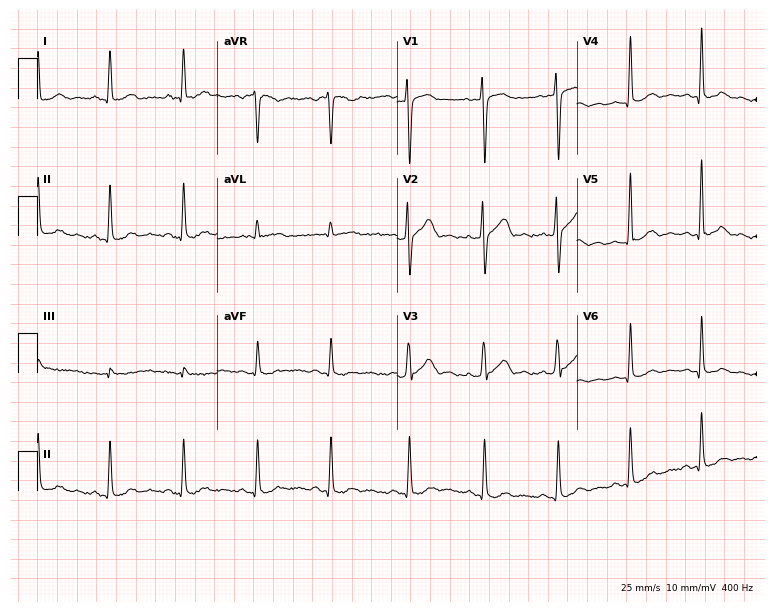
Resting 12-lead electrocardiogram. Patient: a 26-year-old male. None of these six findings is recorded: first-degree AV block, right bundle branch block, left bundle branch block, sinus bradycardia, atrial fibrillation, sinus tachycardia.